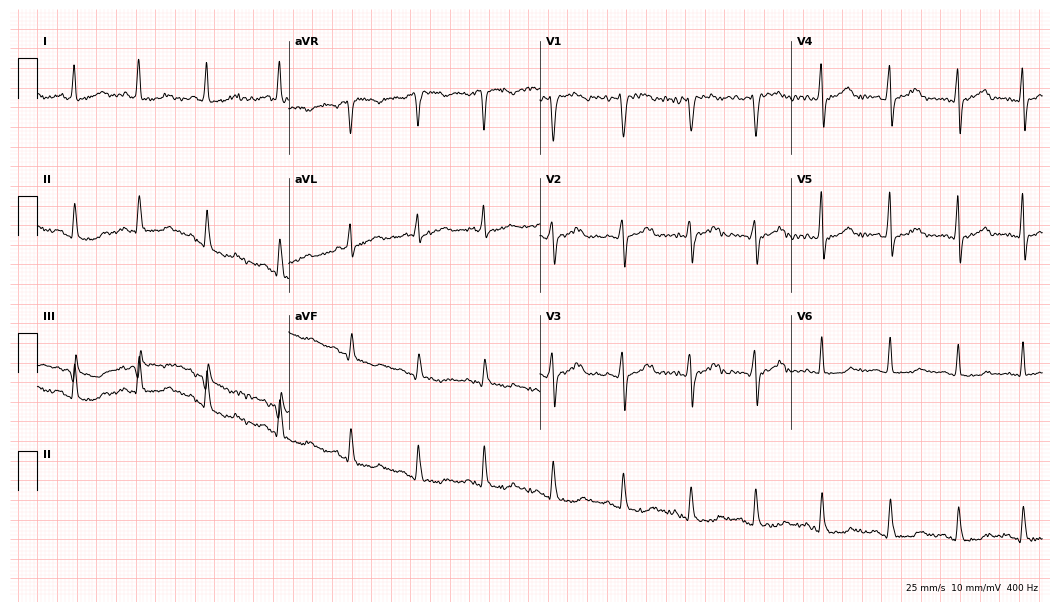
Resting 12-lead electrocardiogram. Patient: a 63-year-old woman. None of these six findings is recorded: first-degree AV block, right bundle branch block, left bundle branch block, sinus bradycardia, atrial fibrillation, sinus tachycardia. Other findings, if any, are not listed.